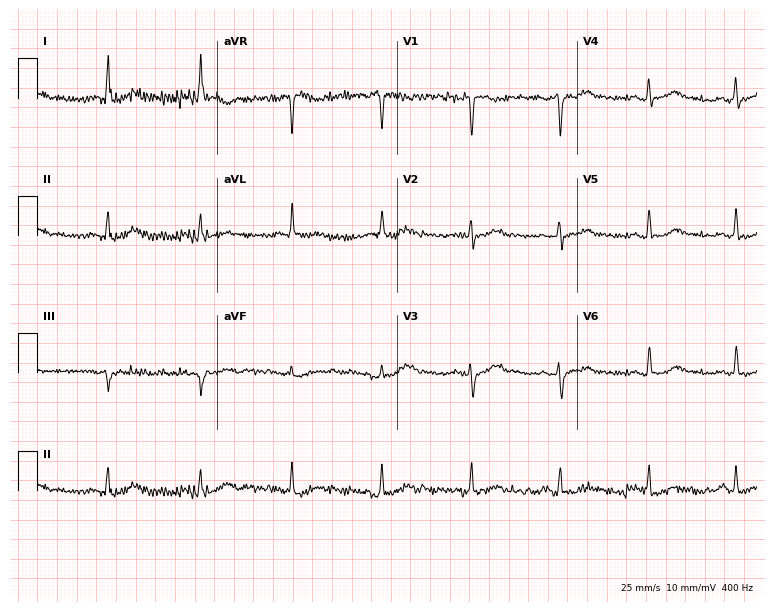
ECG — a female patient, 64 years old. Screened for six findings — first-degree AV block, right bundle branch block (RBBB), left bundle branch block (LBBB), sinus bradycardia, atrial fibrillation (AF), sinus tachycardia — none is recorded.